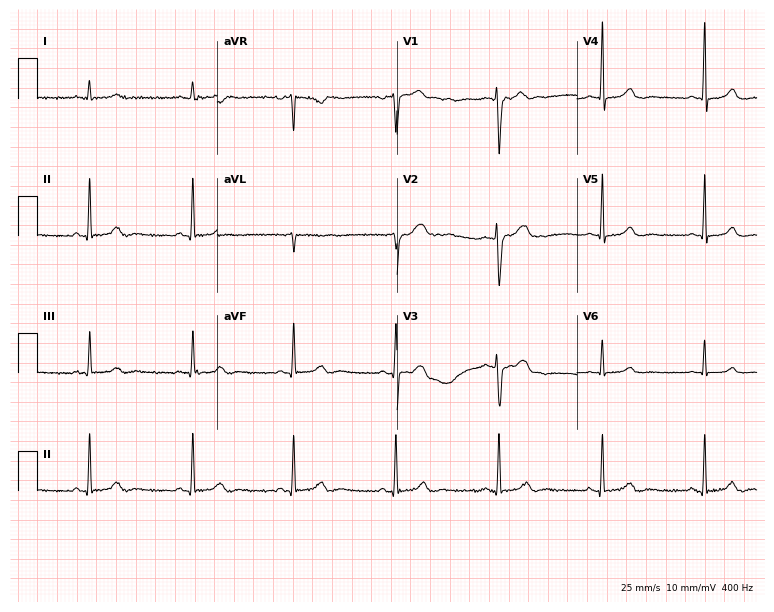
Resting 12-lead electrocardiogram. Patient: a woman, 47 years old. Read as a normal ECG.